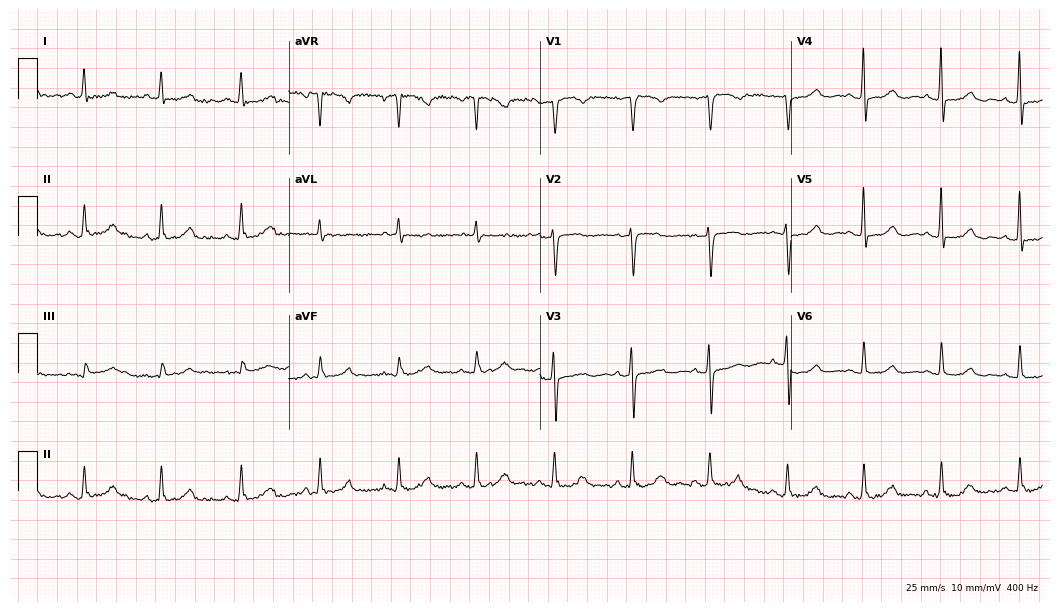
12-lead ECG from a female, 59 years old (10.2-second recording at 400 Hz). Recorded interpretation: within normal limits.